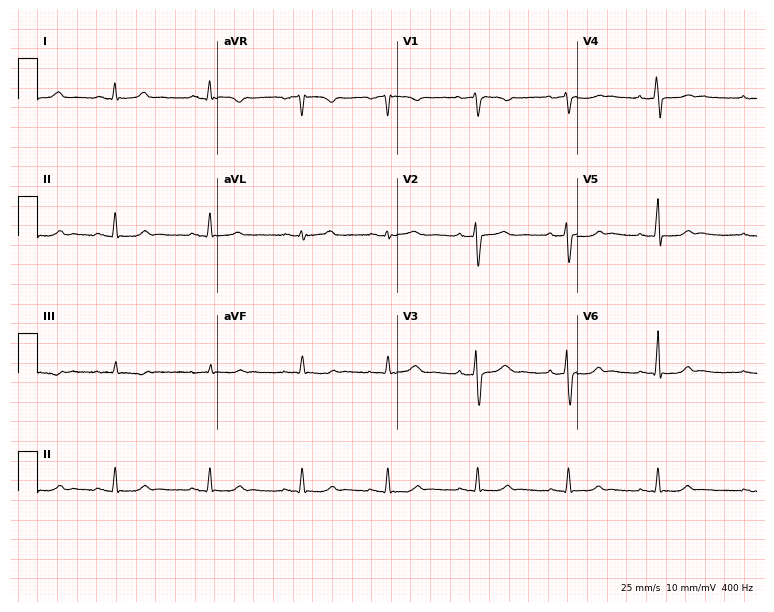
12-lead ECG from a 22-year-old female patient. Labelled as a normal ECG.